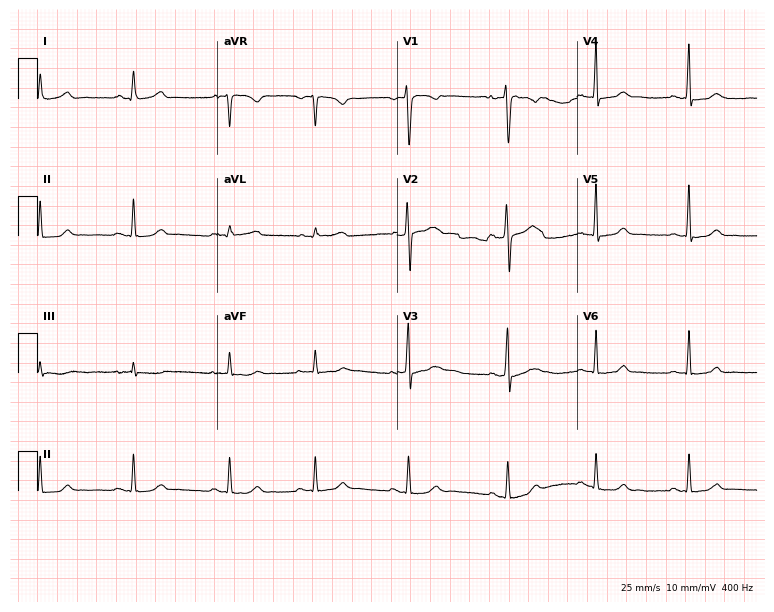
Standard 12-lead ECG recorded from a female patient, 23 years old (7.3-second recording at 400 Hz). Read as a normal ECG.